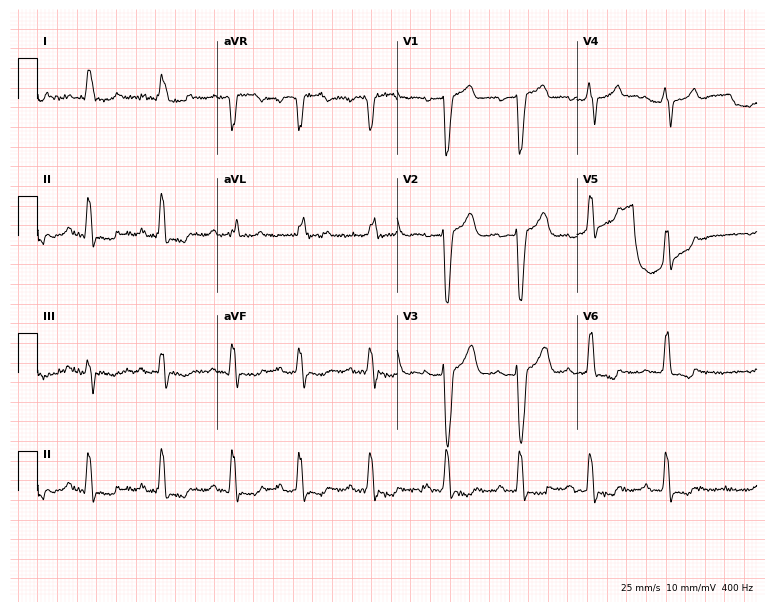
Electrocardiogram (7.3-second recording at 400 Hz), an 81-year-old female. Interpretation includes left bundle branch block.